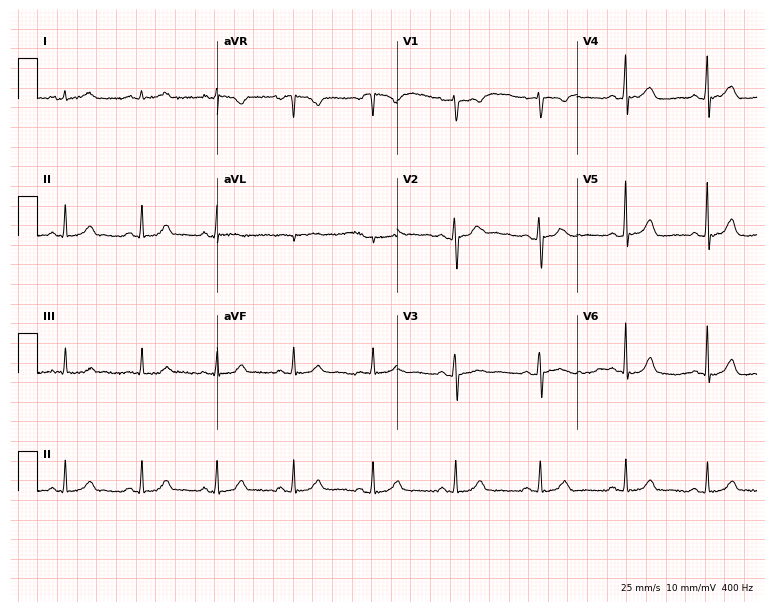
12-lead ECG from a woman, 39 years old (7.3-second recording at 400 Hz). Recorded interpretation: within normal limits.